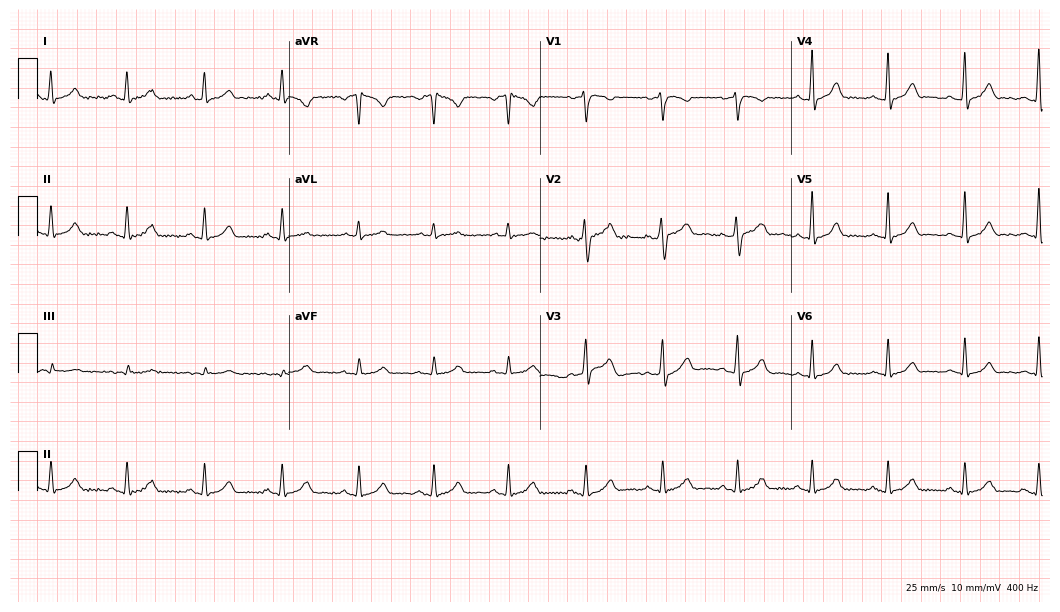
ECG — a 34-year-old male patient. Labelled as a normal ECG.